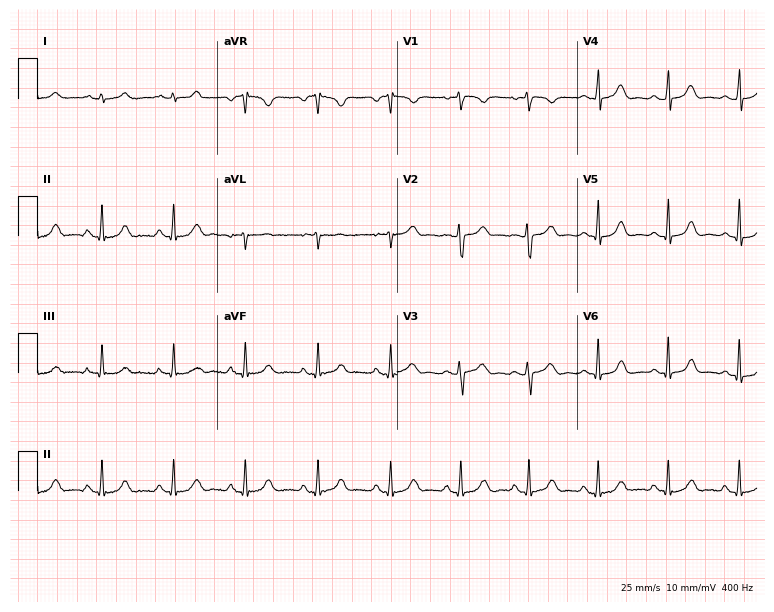
Resting 12-lead electrocardiogram. Patient: a 23-year-old woman. Read as a normal ECG.